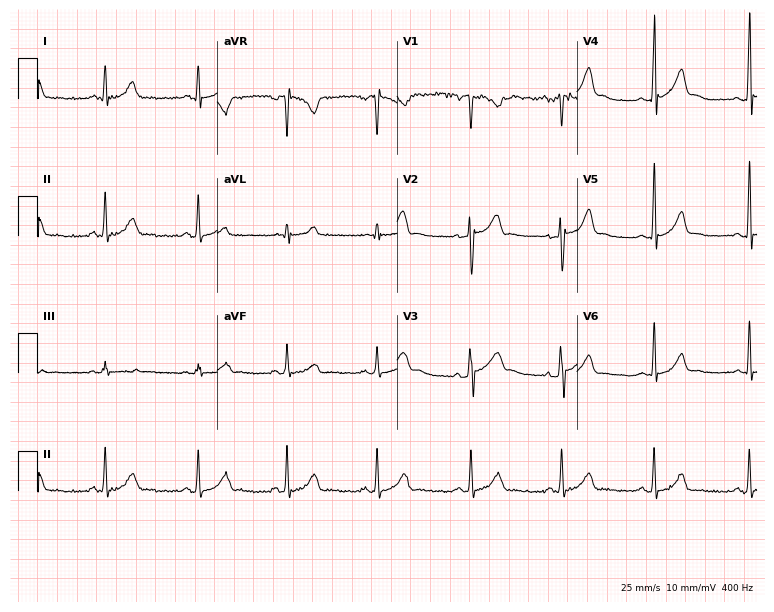
Electrocardiogram, a 42-year-old male. Overall reading on record: normal ECG.